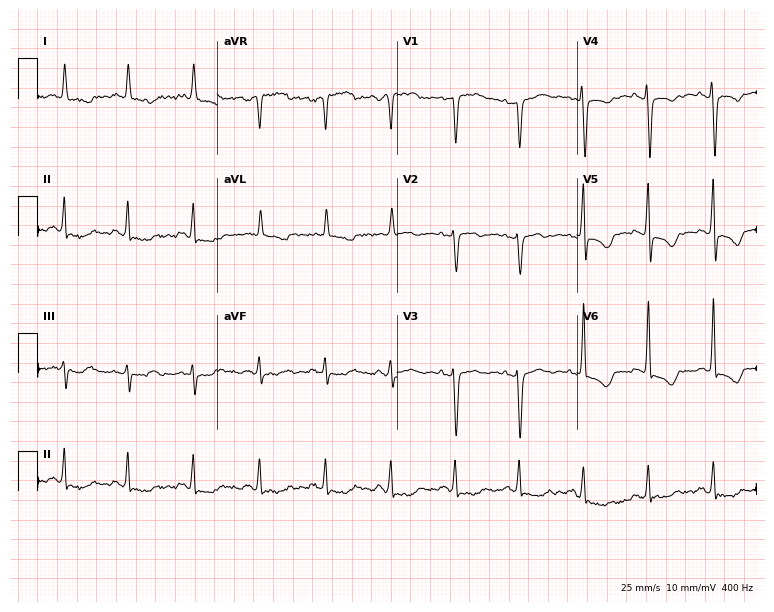
12-lead ECG (7.3-second recording at 400 Hz) from a 73-year-old female patient. Screened for six findings — first-degree AV block, right bundle branch block (RBBB), left bundle branch block (LBBB), sinus bradycardia, atrial fibrillation (AF), sinus tachycardia — none is recorded.